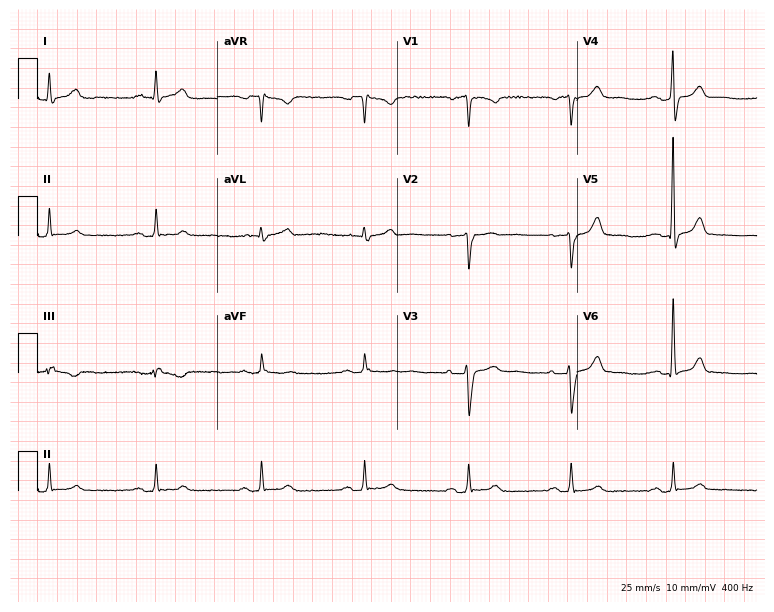
12-lead ECG from a man, 53 years old (7.3-second recording at 400 Hz). Recorded interpretation: within normal limits.